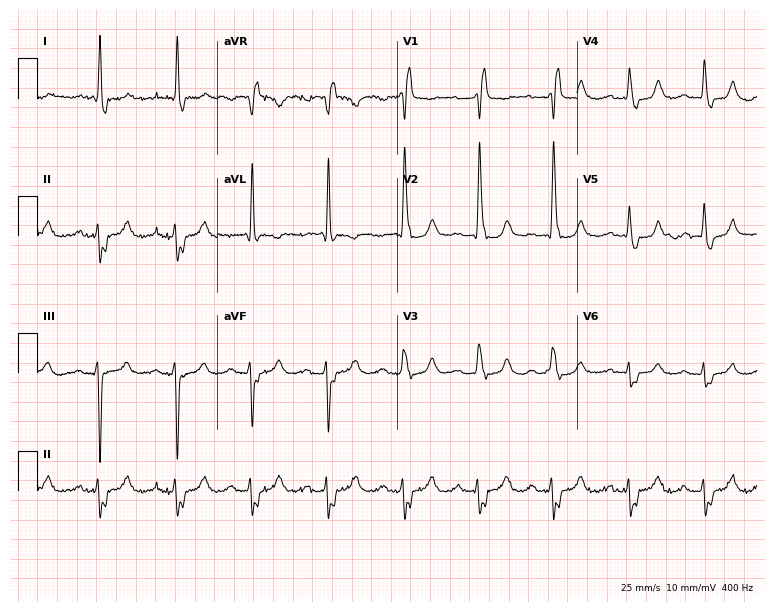
ECG — a woman, 83 years old. Screened for six findings — first-degree AV block, right bundle branch block, left bundle branch block, sinus bradycardia, atrial fibrillation, sinus tachycardia — none is recorded. Findings outside these six are not listed.